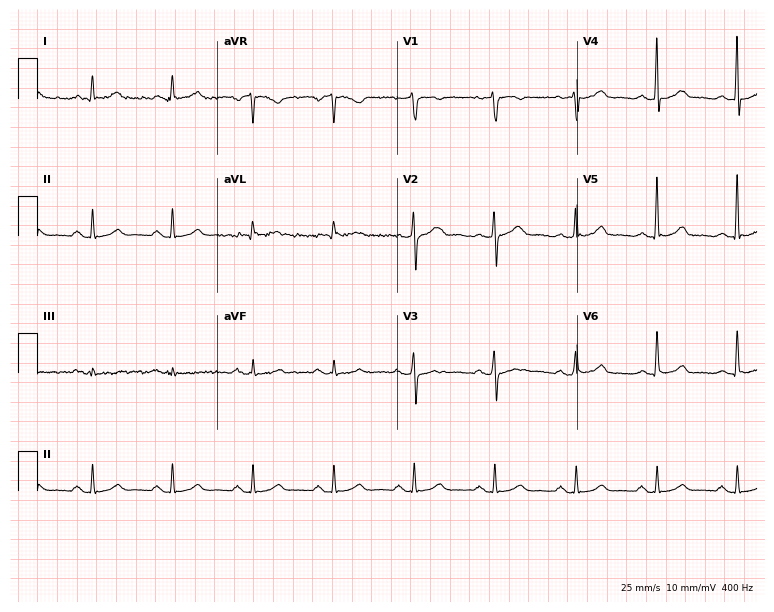
Standard 12-lead ECG recorded from a 65-year-old man (7.3-second recording at 400 Hz). Read as a normal ECG.